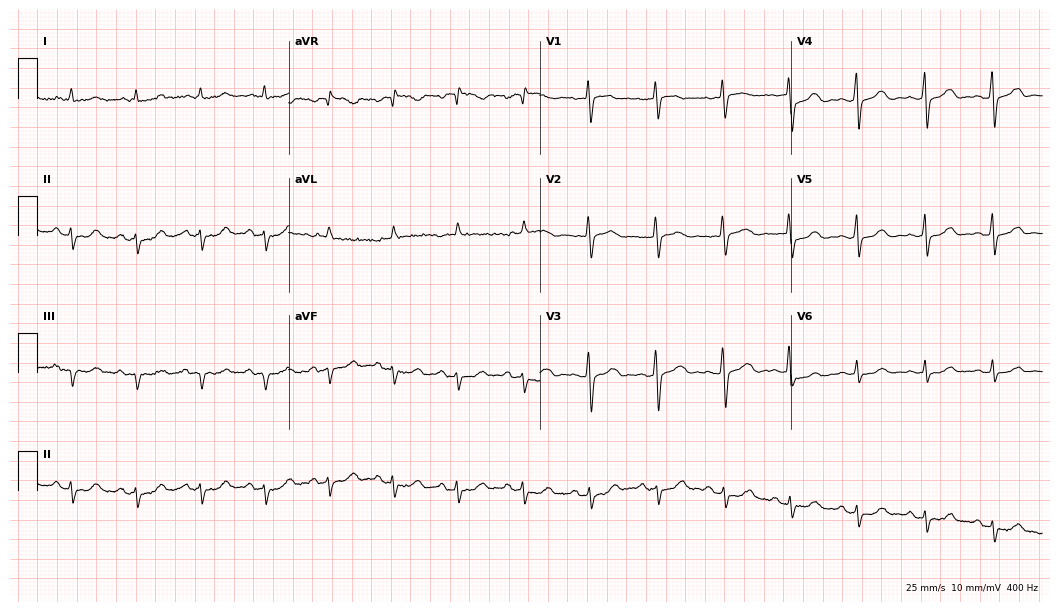
ECG — an 83-year-old female patient. Screened for six findings — first-degree AV block, right bundle branch block (RBBB), left bundle branch block (LBBB), sinus bradycardia, atrial fibrillation (AF), sinus tachycardia — none is recorded. Other findings, if any, are not listed.